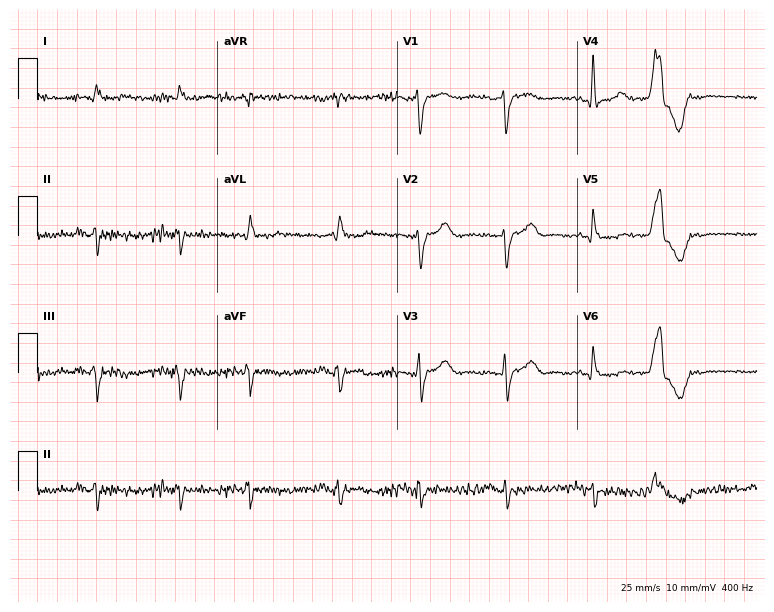
12-lead ECG from a male, 66 years old (7.3-second recording at 400 Hz). Shows atrial fibrillation.